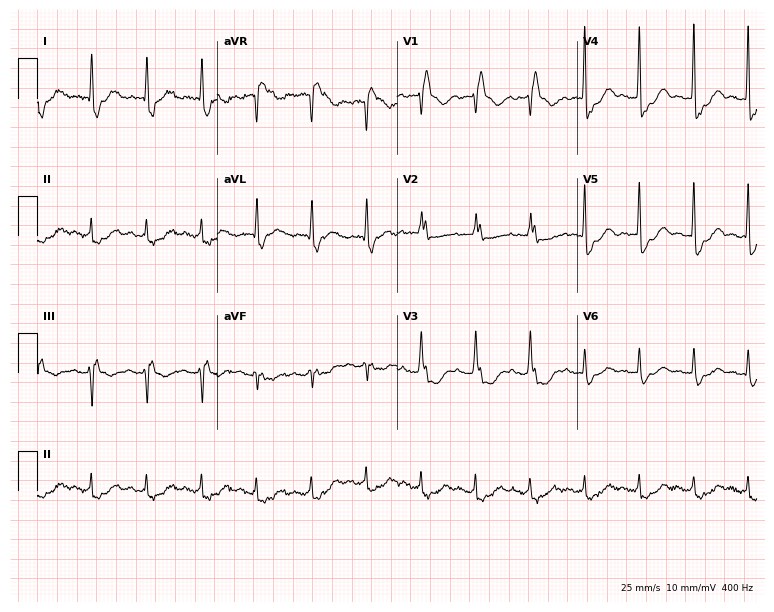
Standard 12-lead ECG recorded from a female patient, 69 years old. The tracing shows right bundle branch block (RBBB).